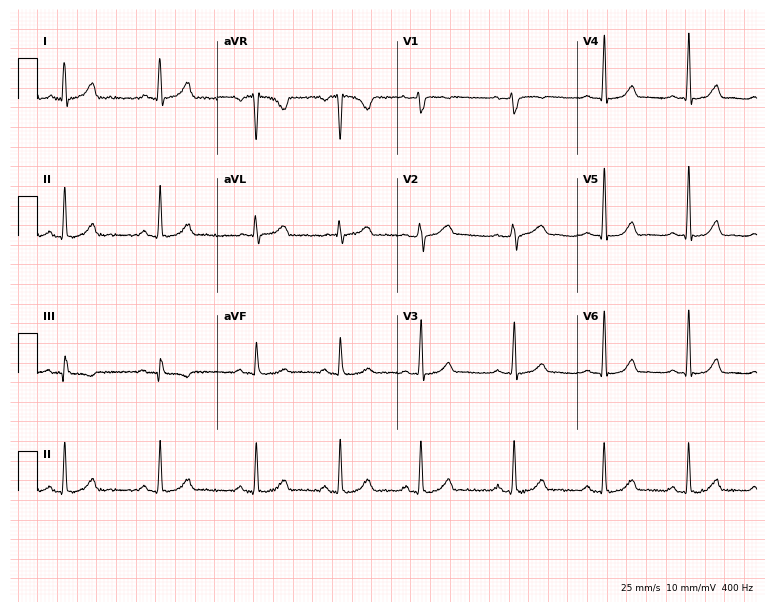
12-lead ECG (7.3-second recording at 400 Hz) from a woman, 31 years old. Screened for six findings — first-degree AV block, right bundle branch block, left bundle branch block, sinus bradycardia, atrial fibrillation, sinus tachycardia — none is recorded.